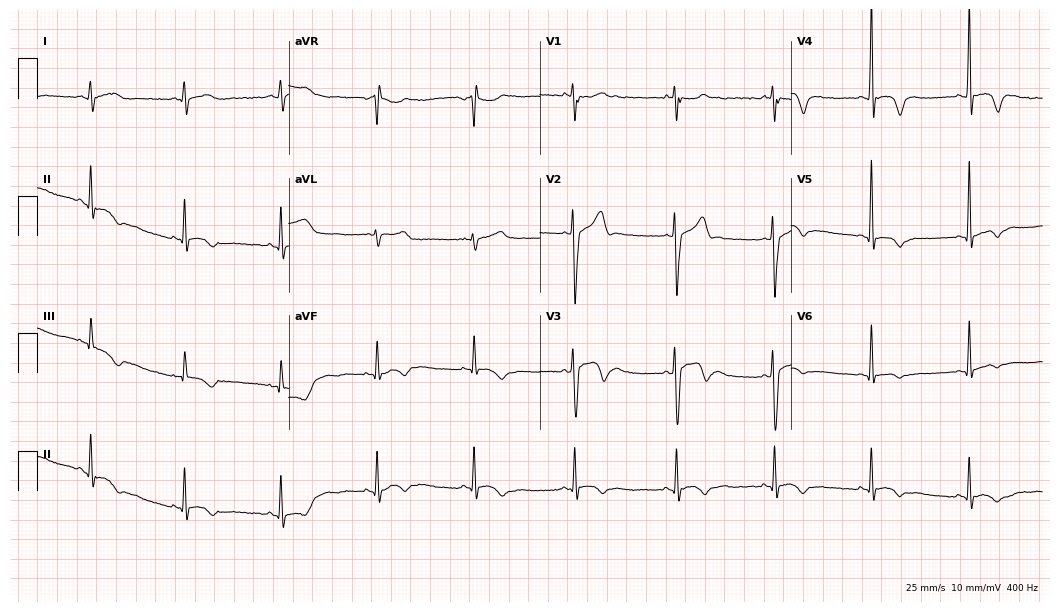
Electrocardiogram, a 17-year-old male. Of the six screened findings (first-degree AV block, right bundle branch block, left bundle branch block, sinus bradycardia, atrial fibrillation, sinus tachycardia), none is recorded.